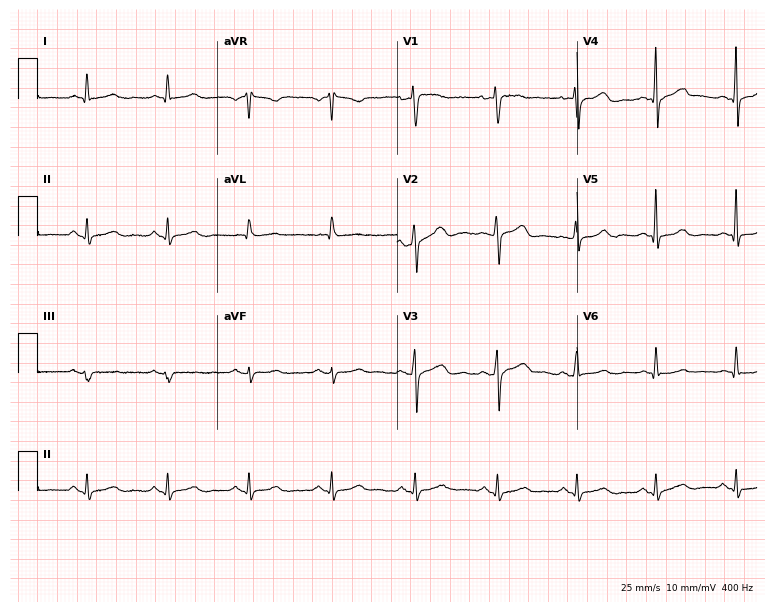
12-lead ECG from a woman, 50 years old (7.3-second recording at 400 Hz). Recorded interpretation: within normal limits.